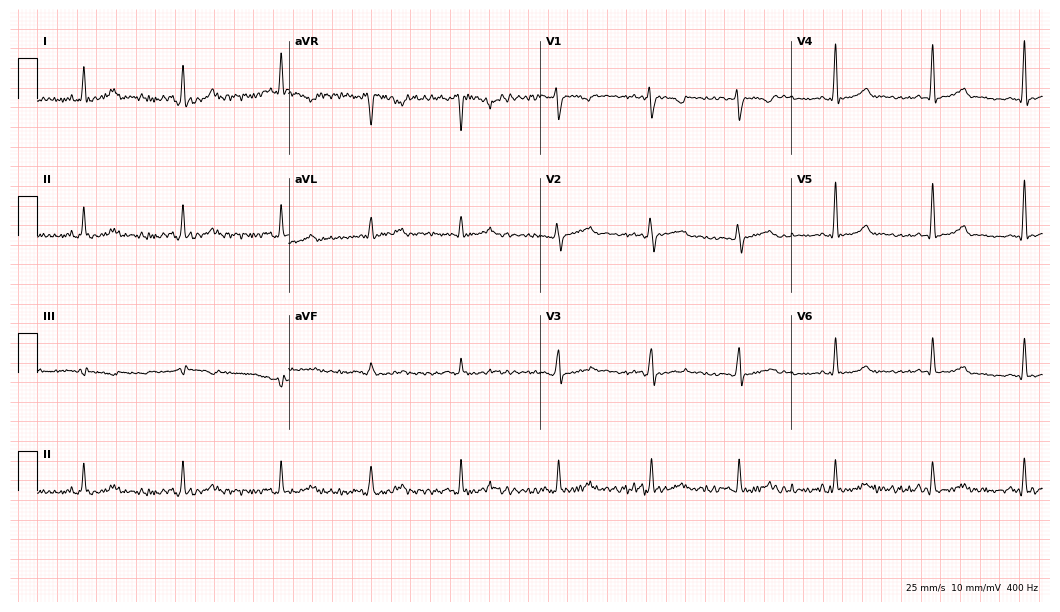
ECG (10.2-second recording at 400 Hz) — a 40-year-old female patient. Labelled as a normal ECG.